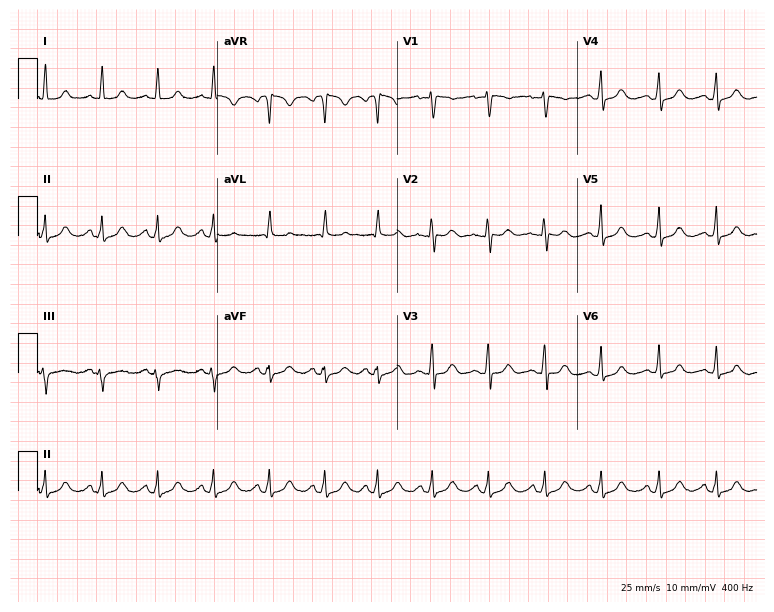
ECG (7.3-second recording at 400 Hz) — a 51-year-old female. Findings include sinus tachycardia (a sinus rate of 100 beats per minute or more).